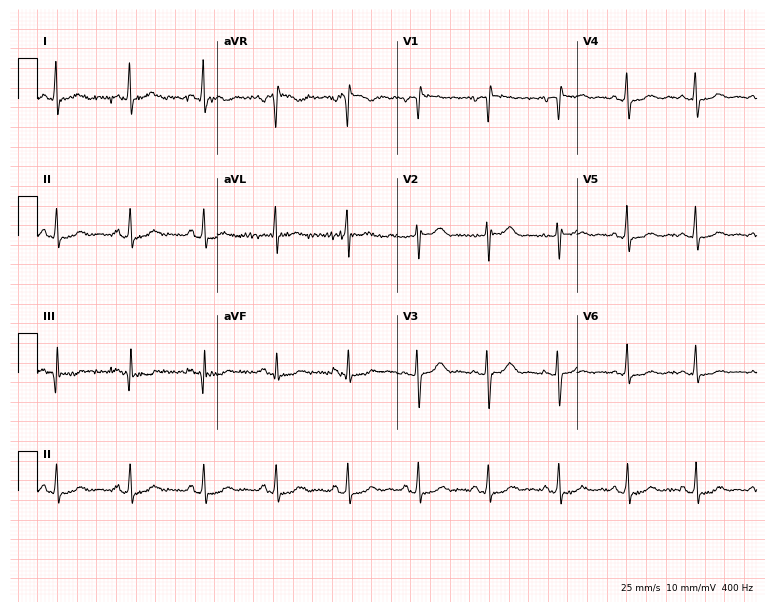
Electrocardiogram, a 61-year-old female patient. Of the six screened findings (first-degree AV block, right bundle branch block, left bundle branch block, sinus bradycardia, atrial fibrillation, sinus tachycardia), none is recorded. Only these six findings were labelled.